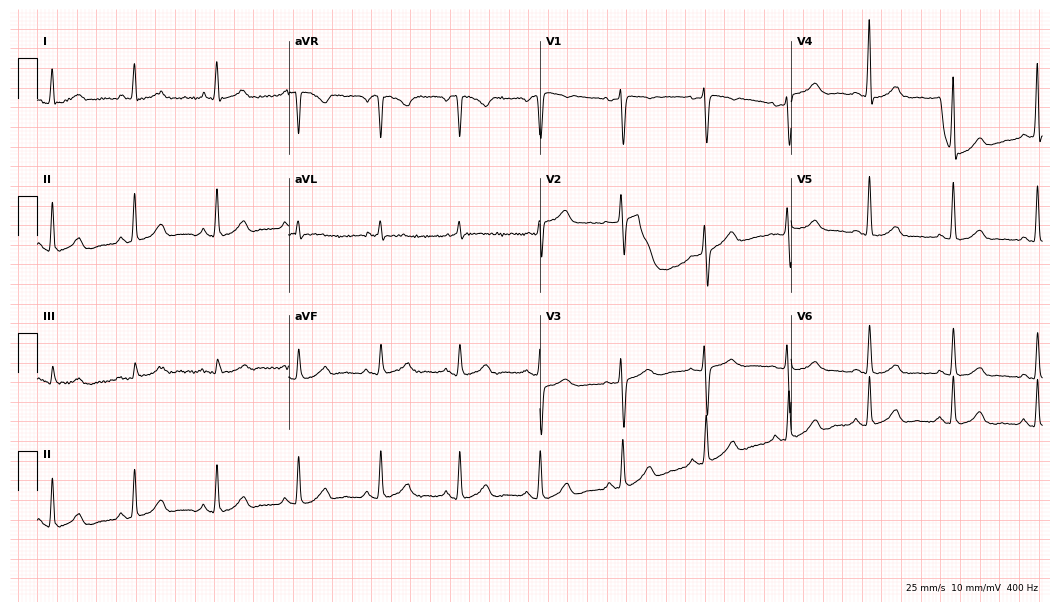
Electrocardiogram (10.2-second recording at 400 Hz), a woman, 56 years old. Of the six screened findings (first-degree AV block, right bundle branch block, left bundle branch block, sinus bradycardia, atrial fibrillation, sinus tachycardia), none is recorded. Only these six findings were labelled.